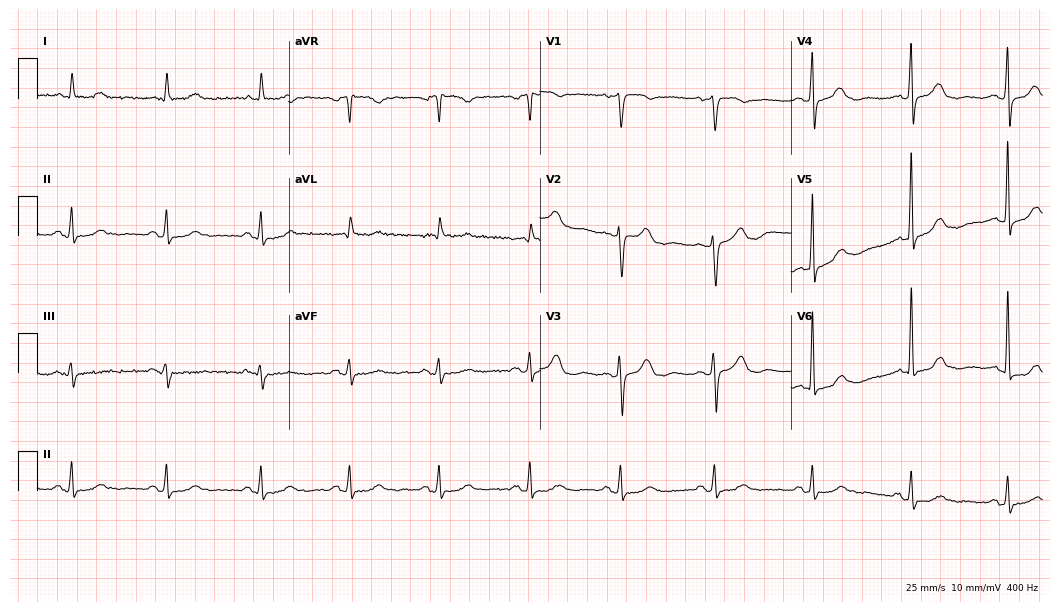
Electrocardiogram (10.2-second recording at 400 Hz), a woman, 74 years old. Of the six screened findings (first-degree AV block, right bundle branch block, left bundle branch block, sinus bradycardia, atrial fibrillation, sinus tachycardia), none is recorded.